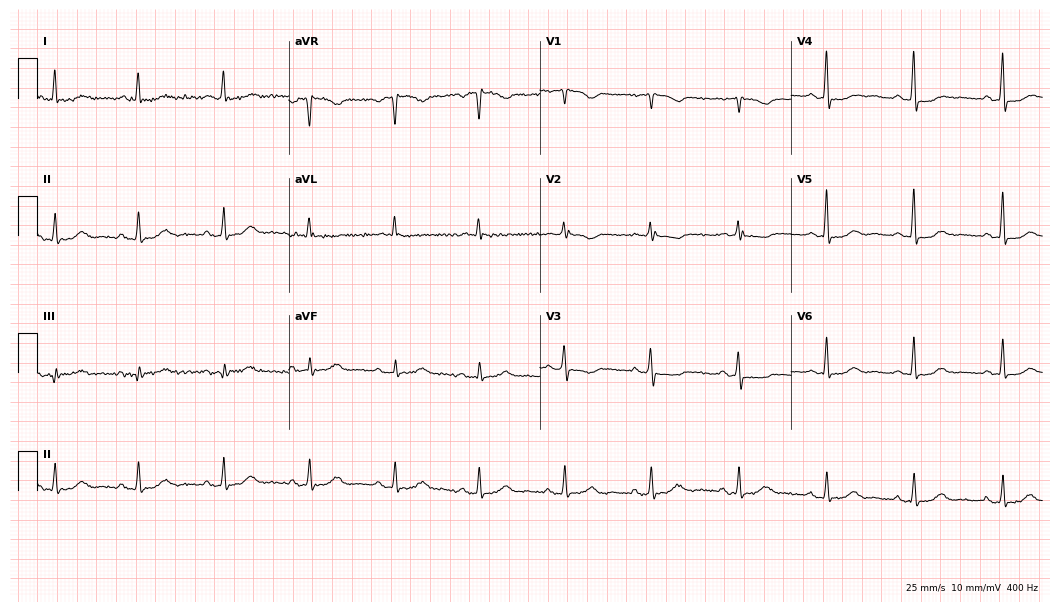
Resting 12-lead electrocardiogram (10.2-second recording at 400 Hz). Patient: a 54-year-old female. None of these six findings is recorded: first-degree AV block, right bundle branch block, left bundle branch block, sinus bradycardia, atrial fibrillation, sinus tachycardia. Findings outside these six are not listed.